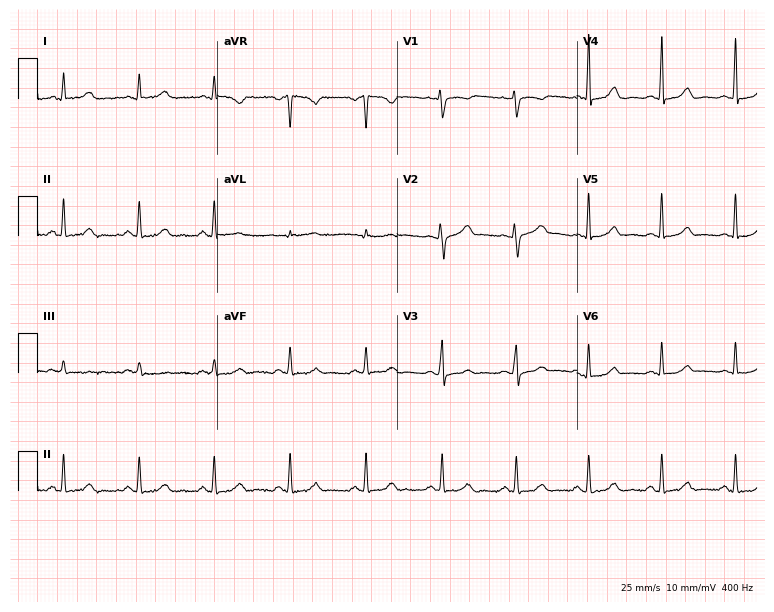
12-lead ECG from a female, 37 years old. Screened for six findings — first-degree AV block, right bundle branch block, left bundle branch block, sinus bradycardia, atrial fibrillation, sinus tachycardia — none is recorded.